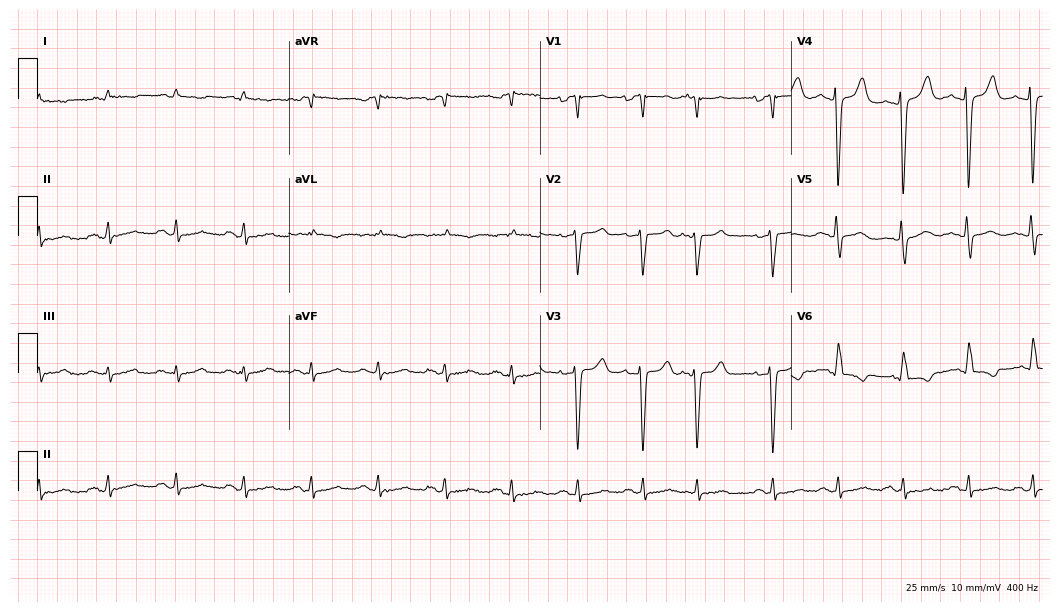
Electrocardiogram, a male, 82 years old. Of the six screened findings (first-degree AV block, right bundle branch block (RBBB), left bundle branch block (LBBB), sinus bradycardia, atrial fibrillation (AF), sinus tachycardia), none is recorded. Only these six findings were labelled.